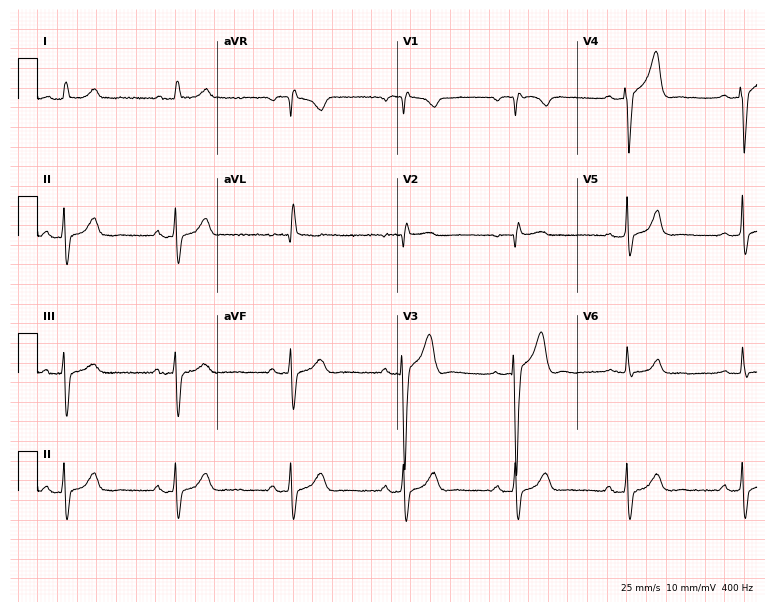
Resting 12-lead electrocardiogram. Patient: a 77-year-old male. None of these six findings is recorded: first-degree AV block, right bundle branch block (RBBB), left bundle branch block (LBBB), sinus bradycardia, atrial fibrillation (AF), sinus tachycardia.